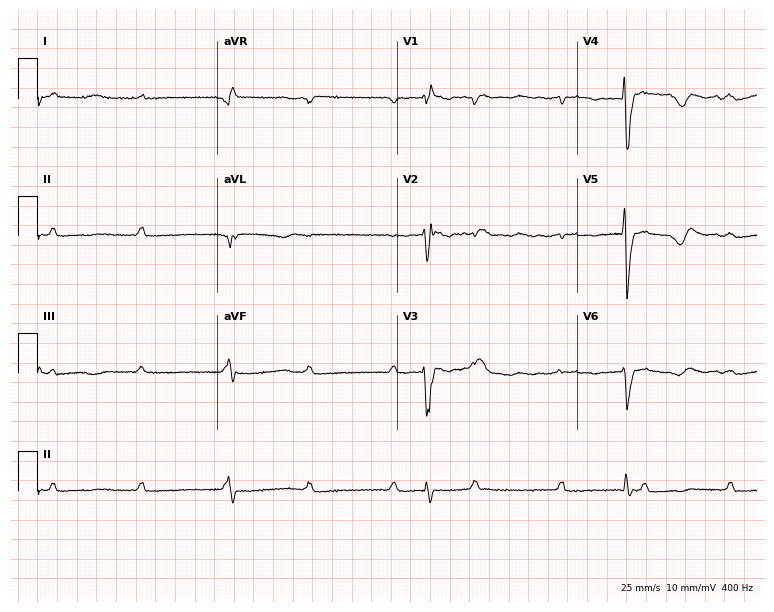
Electrocardiogram (7.3-second recording at 400 Hz), a 70-year-old male patient. Of the six screened findings (first-degree AV block, right bundle branch block, left bundle branch block, sinus bradycardia, atrial fibrillation, sinus tachycardia), none is recorded.